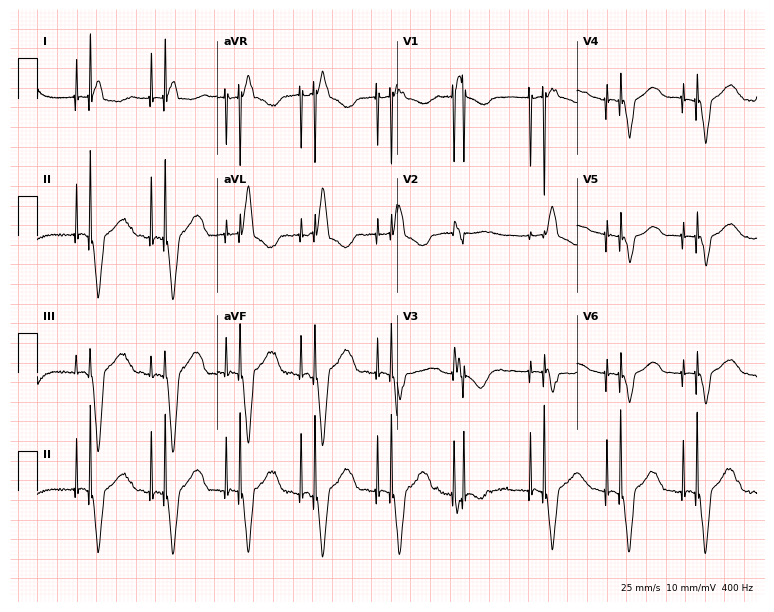
12-lead ECG from an 80-year-old woman (7.3-second recording at 400 Hz). No first-degree AV block, right bundle branch block (RBBB), left bundle branch block (LBBB), sinus bradycardia, atrial fibrillation (AF) or sinus tachycardia recorded for this tracing.